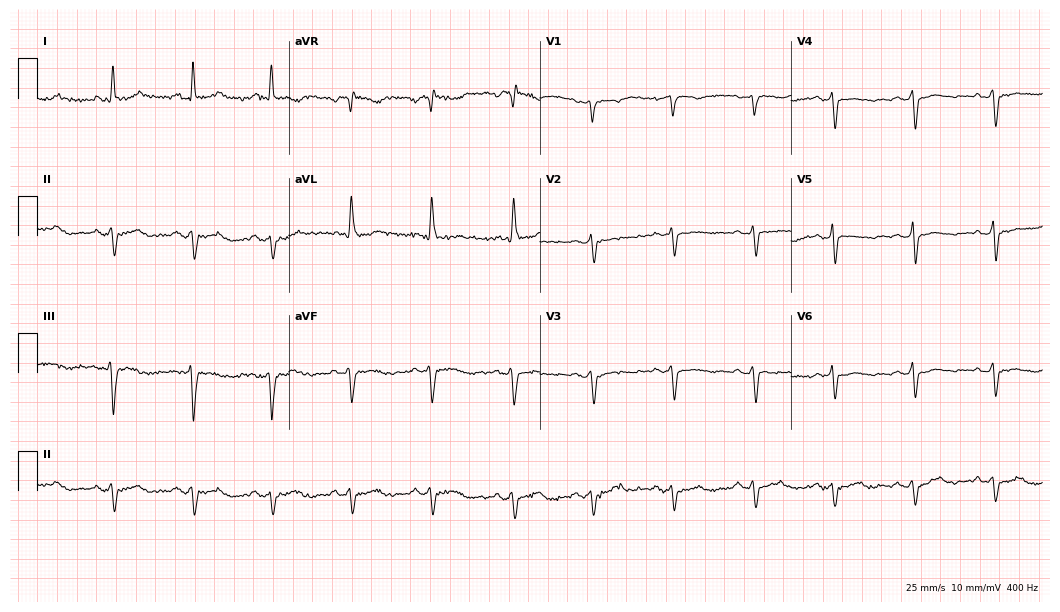
Resting 12-lead electrocardiogram (10.2-second recording at 400 Hz). Patient: a female, 57 years old. None of these six findings is recorded: first-degree AV block, right bundle branch block (RBBB), left bundle branch block (LBBB), sinus bradycardia, atrial fibrillation (AF), sinus tachycardia.